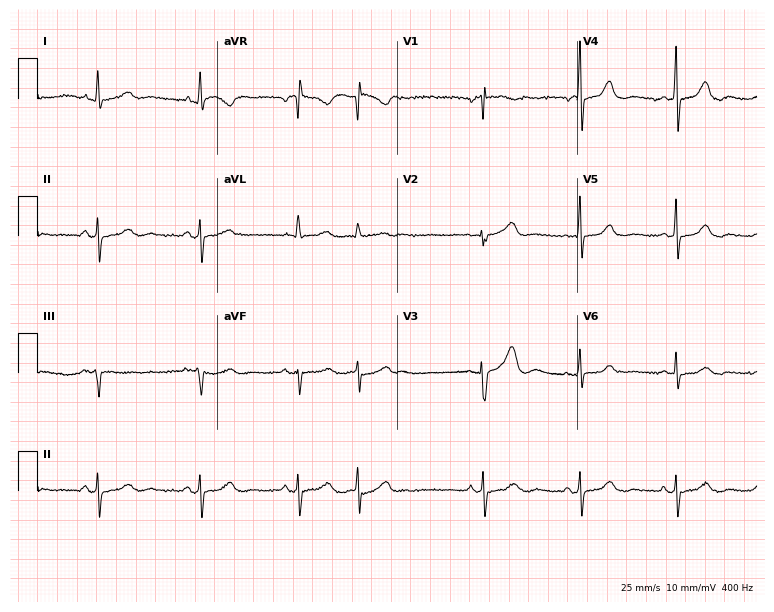
Electrocardiogram, a 73-year-old female patient. Of the six screened findings (first-degree AV block, right bundle branch block, left bundle branch block, sinus bradycardia, atrial fibrillation, sinus tachycardia), none is recorded. Only these six findings were labelled.